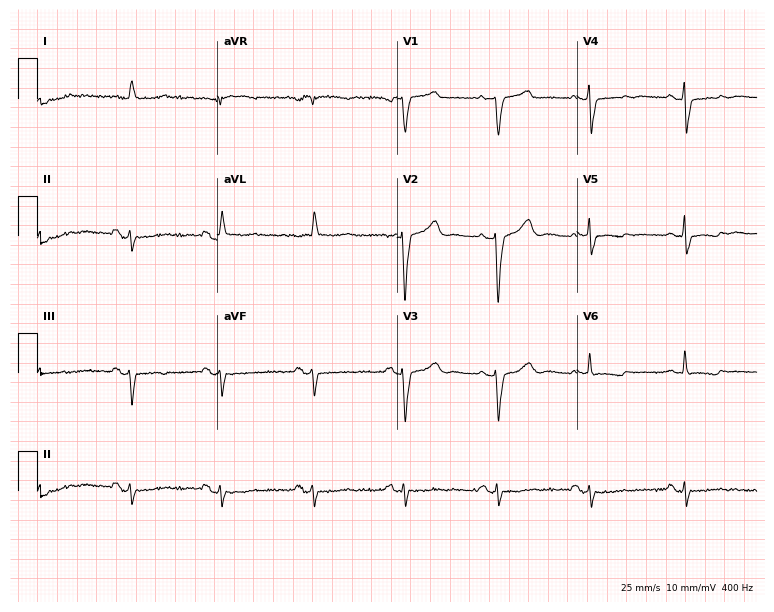
12-lead ECG (7.3-second recording at 400 Hz) from an 80-year-old woman. Screened for six findings — first-degree AV block, right bundle branch block, left bundle branch block, sinus bradycardia, atrial fibrillation, sinus tachycardia — none is recorded.